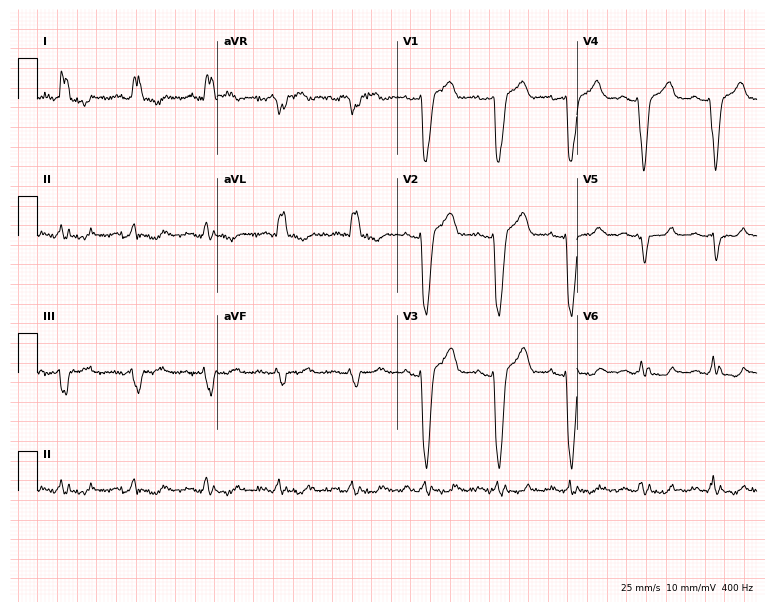
Standard 12-lead ECG recorded from a 72-year-old woman (7.3-second recording at 400 Hz). The tracing shows left bundle branch block.